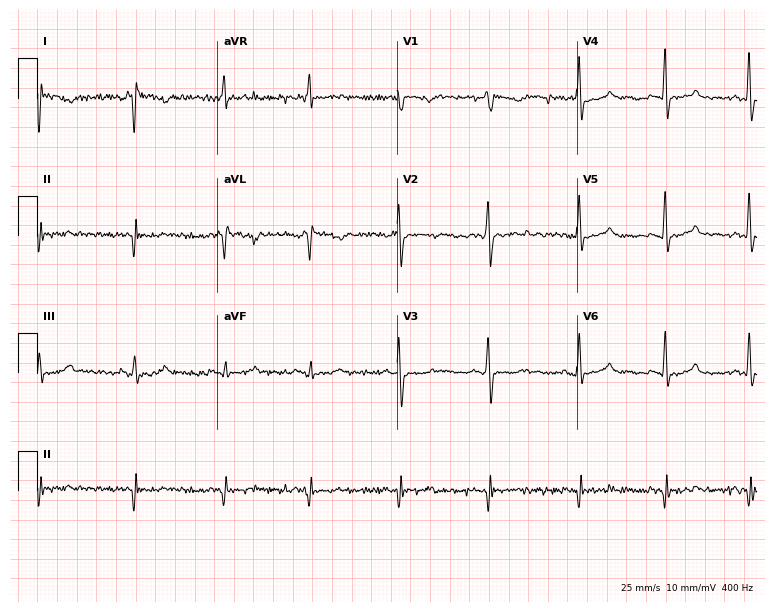
Electrocardiogram (7.3-second recording at 400 Hz), a female, 48 years old. Of the six screened findings (first-degree AV block, right bundle branch block, left bundle branch block, sinus bradycardia, atrial fibrillation, sinus tachycardia), none is recorded.